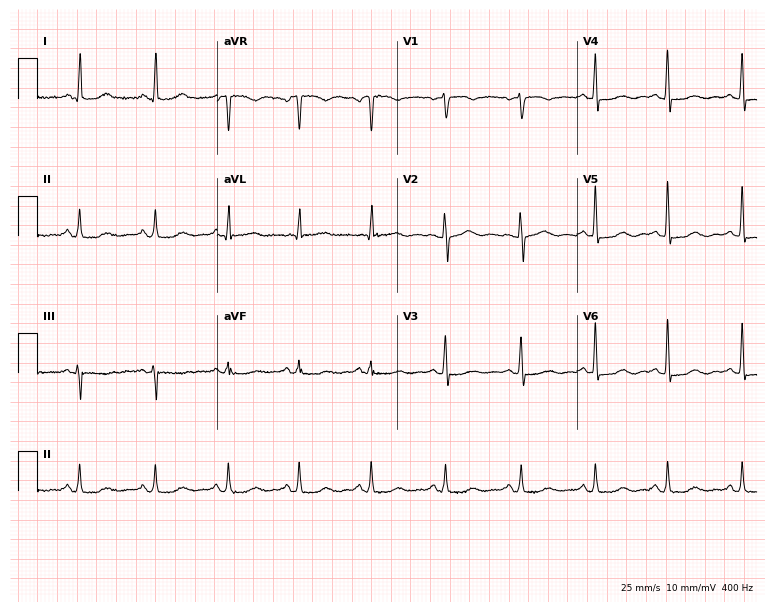
12-lead ECG from a 68-year-old female (7.3-second recording at 400 Hz). No first-degree AV block, right bundle branch block (RBBB), left bundle branch block (LBBB), sinus bradycardia, atrial fibrillation (AF) or sinus tachycardia recorded for this tracing.